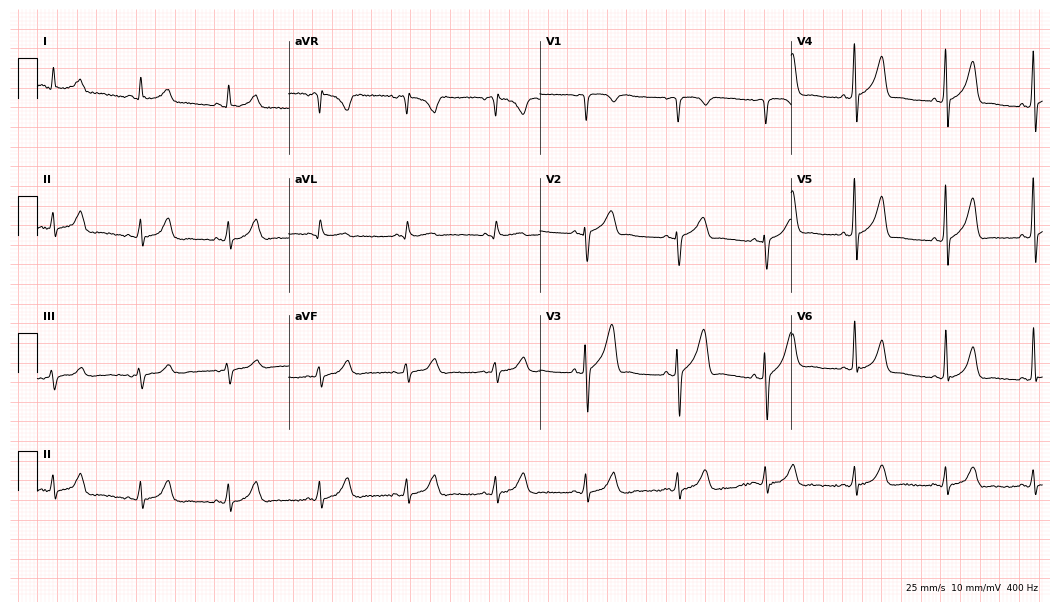
Standard 12-lead ECG recorded from a man, 59 years old (10.2-second recording at 400 Hz). None of these six findings is recorded: first-degree AV block, right bundle branch block (RBBB), left bundle branch block (LBBB), sinus bradycardia, atrial fibrillation (AF), sinus tachycardia.